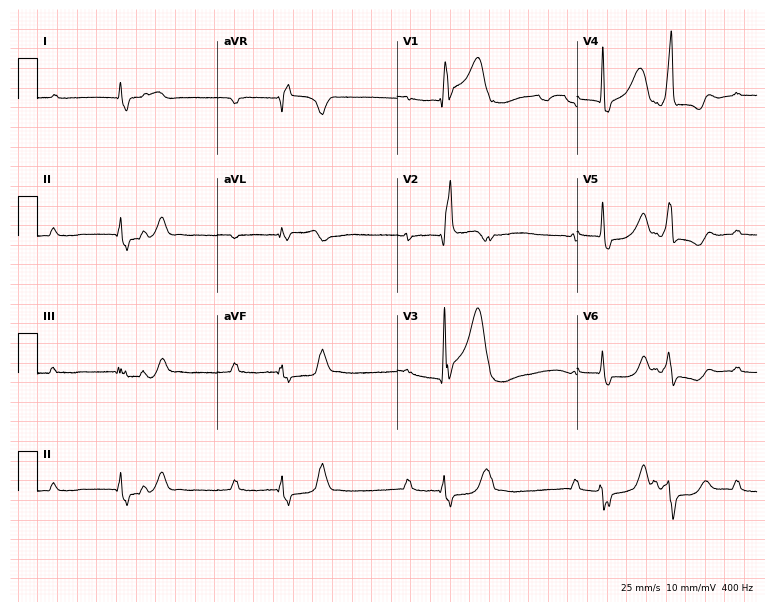
Electrocardiogram, a man, 68 years old. Of the six screened findings (first-degree AV block, right bundle branch block (RBBB), left bundle branch block (LBBB), sinus bradycardia, atrial fibrillation (AF), sinus tachycardia), none is recorded.